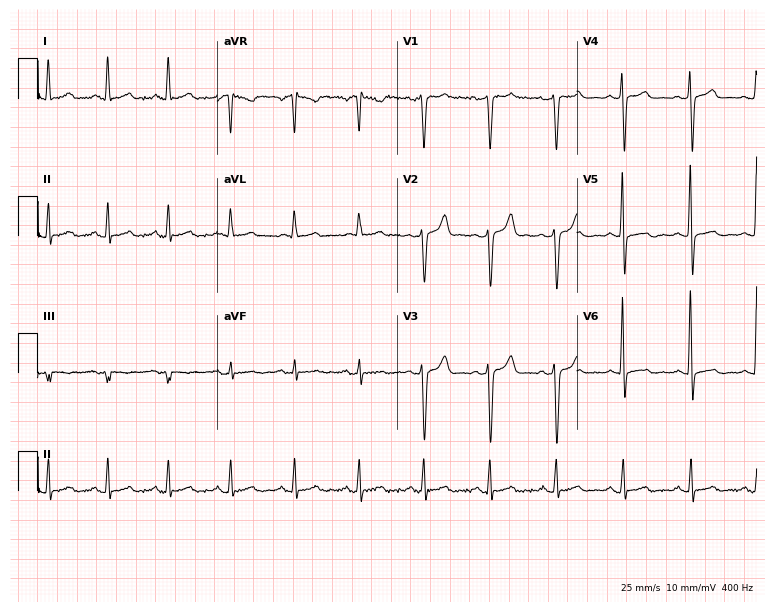
12-lead ECG from a male patient, 45 years old. Labelled as a normal ECG.